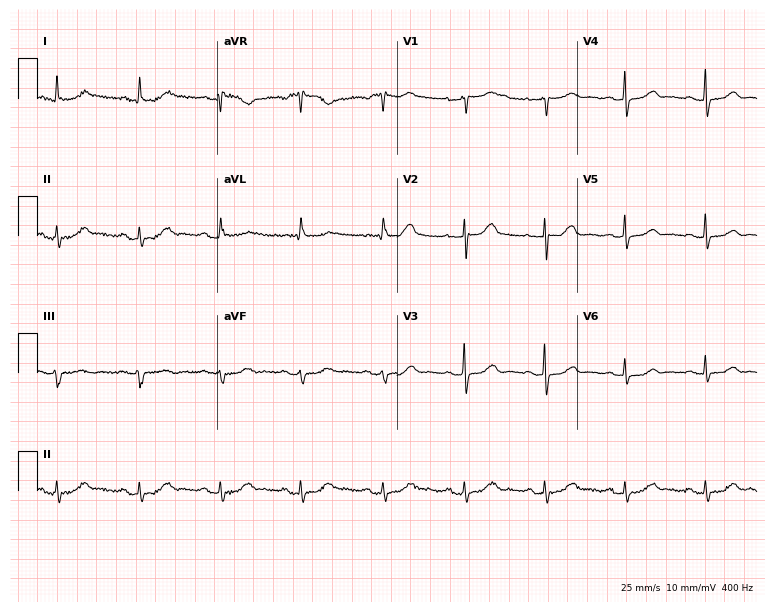
12-lead ECG from a woman, 67 years old. Labelled as a normal ECG.